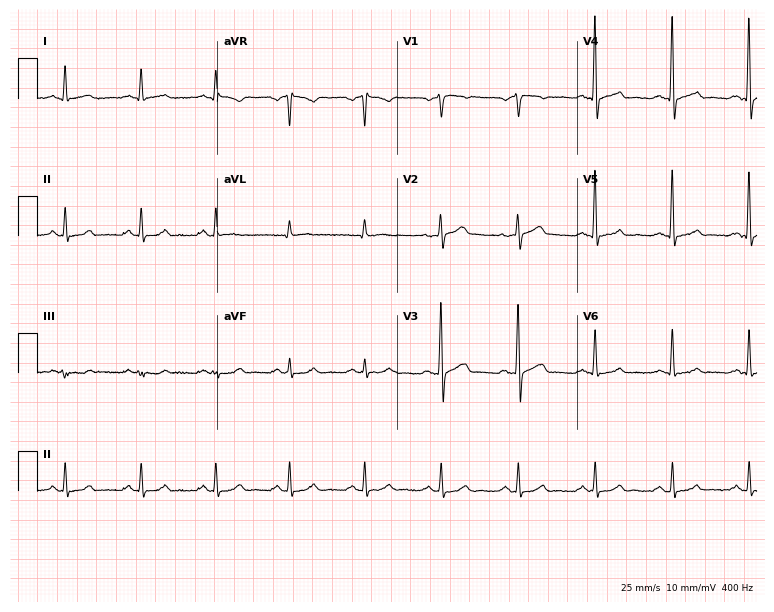
Resting 12-lead electrocardiogram (7.3-second recording at 400 Hz). Patient: a 49-year-old male. Read as a normal ECG.